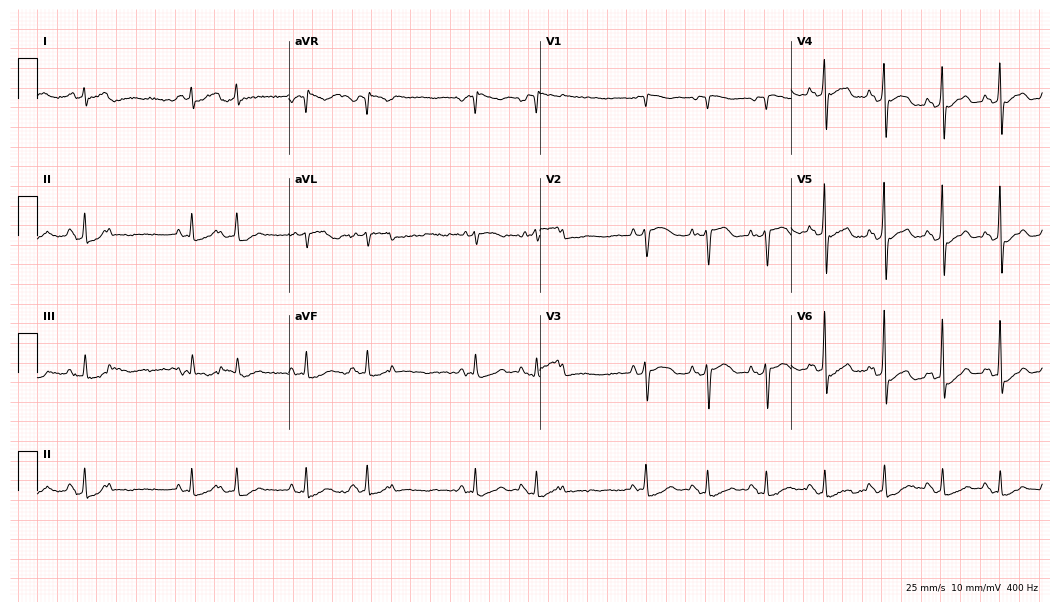
ECG (10.2-second recording at 400 Hz) — a male, 82 years old. Screened for six findings — first-degree AV block, right bundle branch block, left bundle branch block, sinus bradycardia, atrial fibrillation, sinus tachycardia — none is recorded. Findings outside these six are not listed.